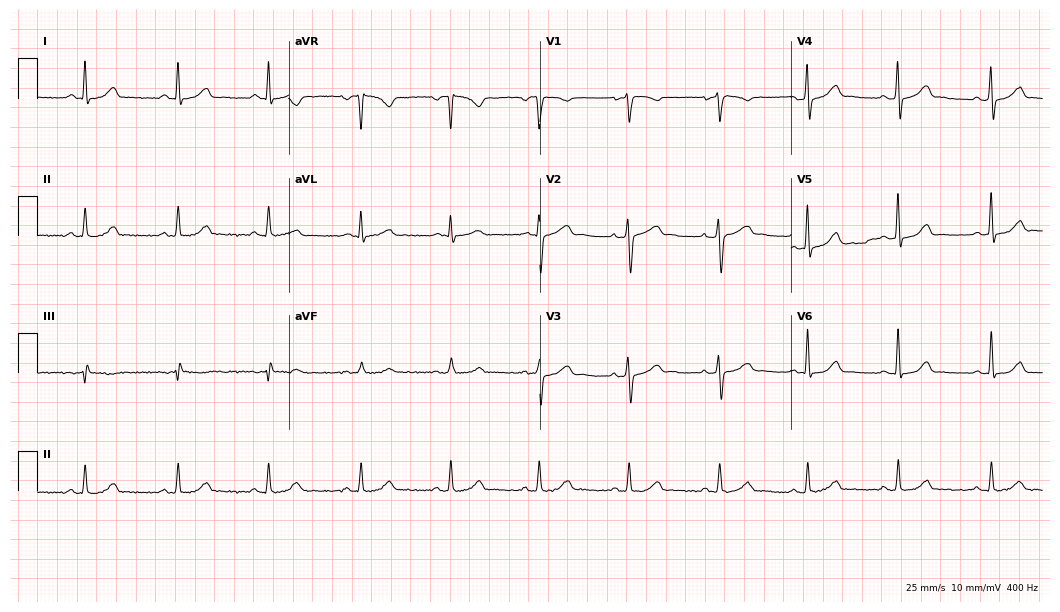
ECG — a 44-year-old female. Labelled as a normal ECG.